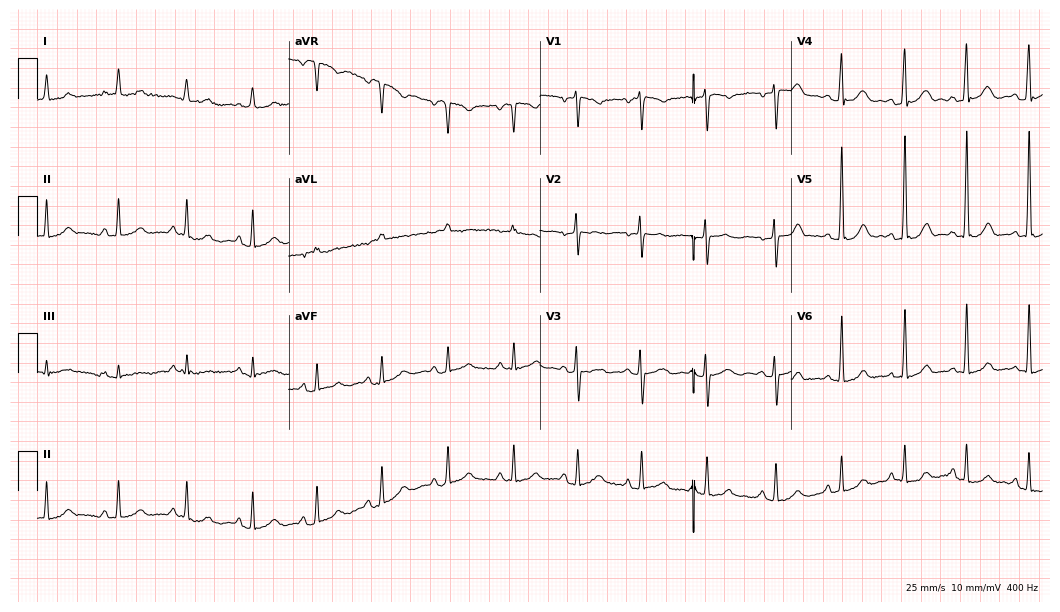
Resting 12-lead electrocardiogram. Patient: a 22-year-old female. None of these six findings is recorded: first-degree AV block, right bundle branch block, left bundle branch block, sinus bradycardia, atrial fibrillation, sinus tachycardia. Other findings, if any, are not listed.